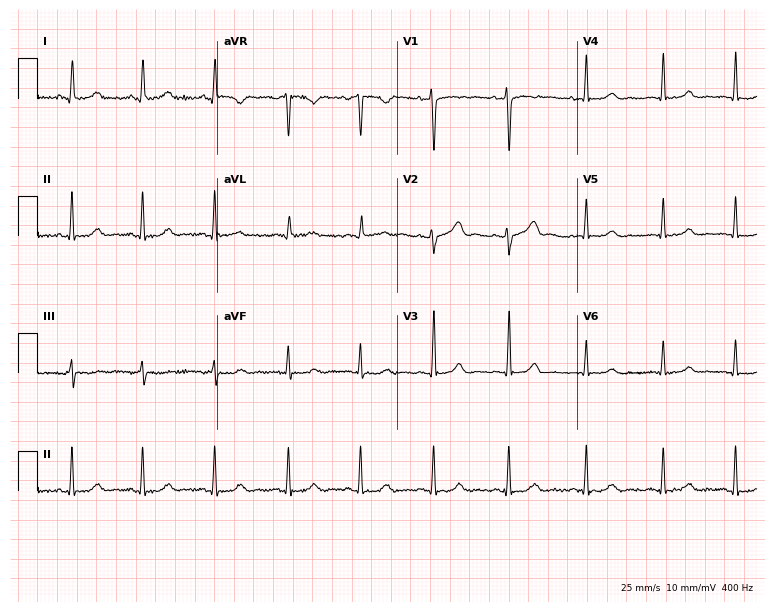
Resting 12-lead electrocardiogram (7.3-second recording at 400 Hz). Patient: a female, 34 years old. Read as a normal ECG.